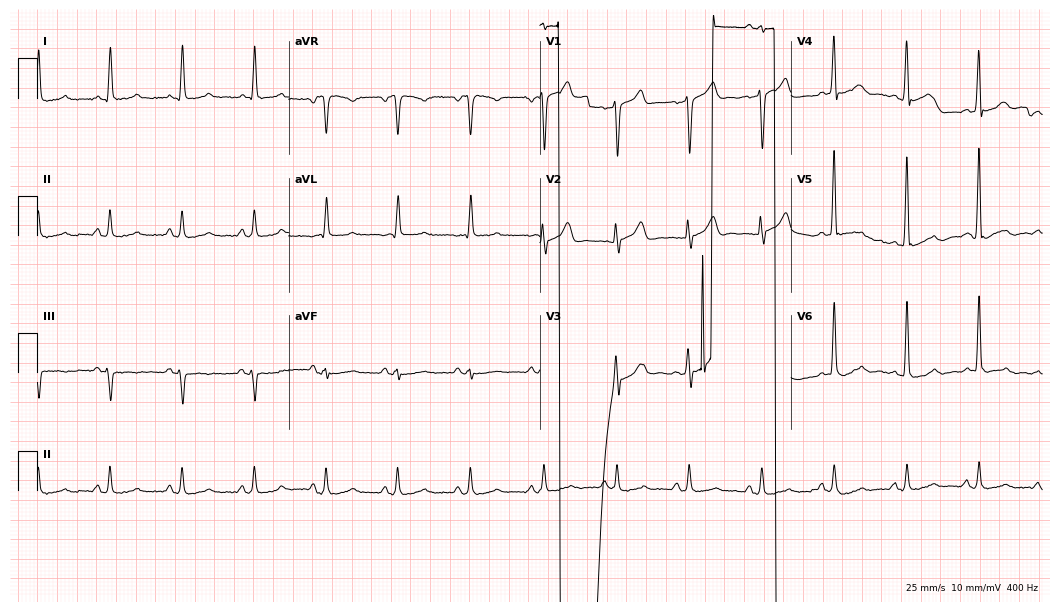
12-lead ECG from a man, 64 years old (10.2-second recording at 400 Hz). No first-degree AV block, right bundle branch block (RBBB), left bundle branch block (LBBB), sinus bradycardia, atrial fibrillation (AF) or sinus tachycardia recorded for this tracing.